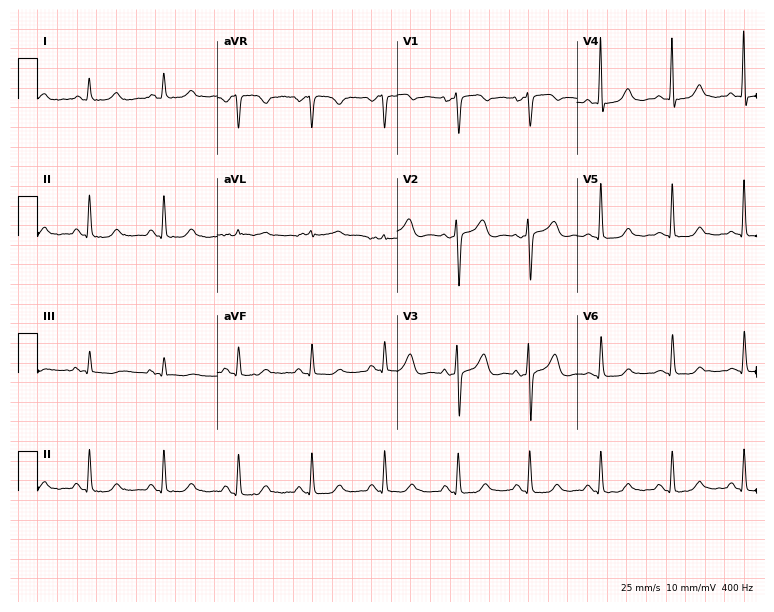
Resting 12-lead electrocardiogram. Patient: a 52-year-old female. None of these six findings is recorded: first-degree AV block, right bundle branch block, left bundle branch block, sinus bradycardia, atrial fibrillation, sinus tachycardia. Other findings, if any, are not listed.